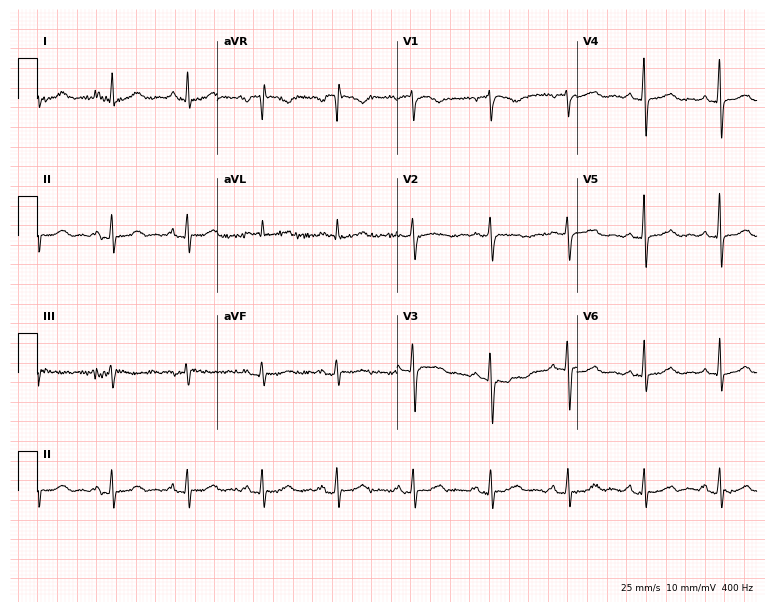
Standard 12-lead ECG recorded from a 59-year-old female patient (7.3-second recording at 400 Hz). None of these six findings is recorded: first-degree AV block, right bundle branch block (RBBB), left bundle branch block (LBBB), sinus bradycardia, atrial fibrillation (AF), sinus tachycardia.